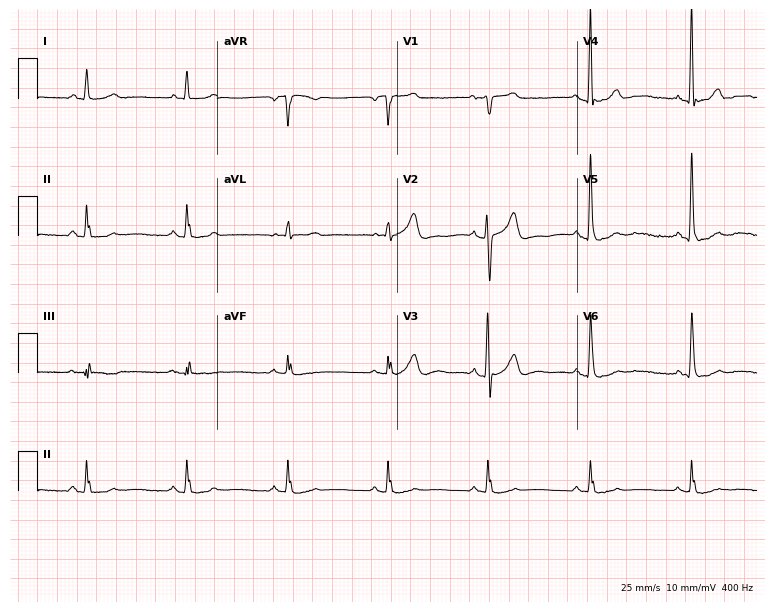
Resting 12-lead electrocardiogram. Patient: a 63-year-old male. None of these six findings is recorded: first-degree AV block, right bundle branch block, left bundle branch block, sinus bradycardia, atrial fibrillation, sinus tachycardia.